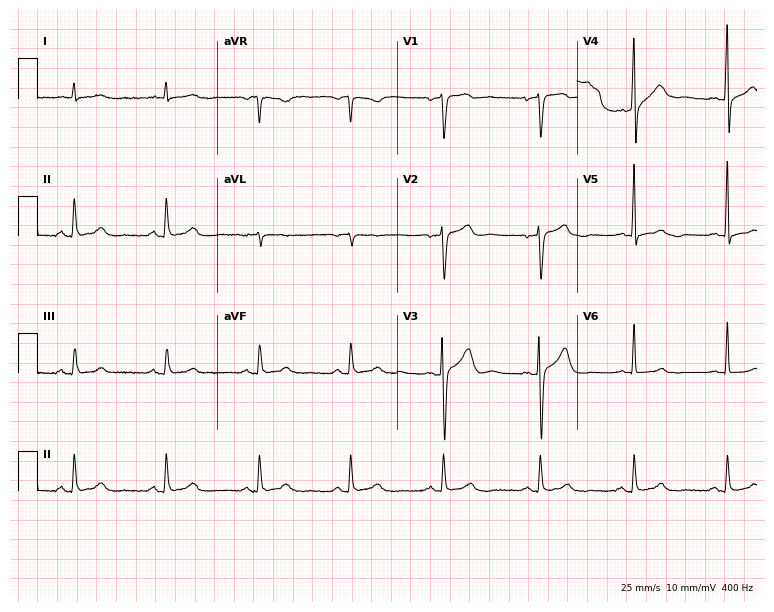
ECG (7.3-second recording at 400 Hz) — a 46-year-old man. Labelled as a normal ECG.